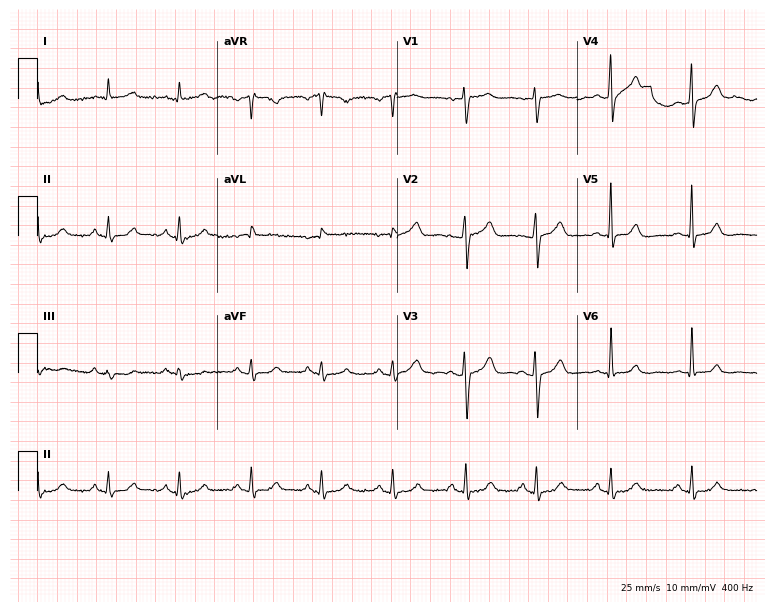
12-lead ECG (7.3-second recording at 400 Hz) from a 63-year-old man. Labelled as a normal ECG.